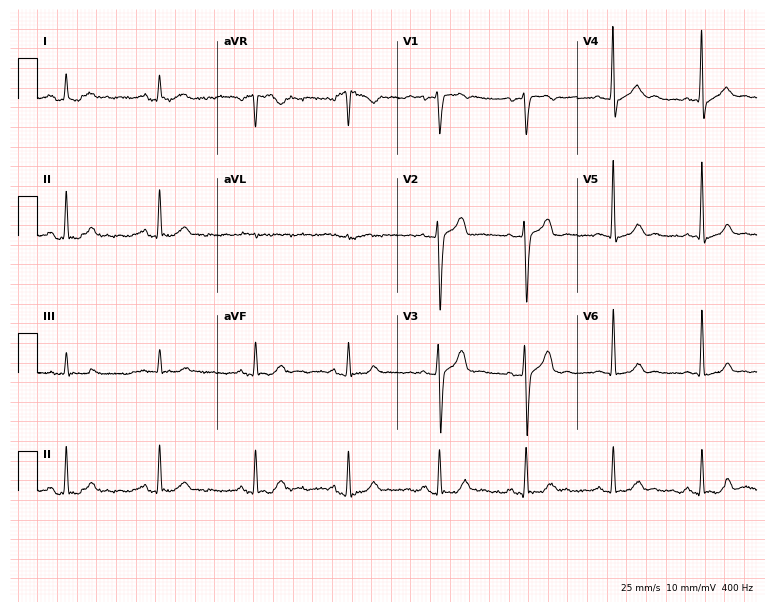
Resting 12-lead electrocardiogram (7.3-second recording at 400 Hz). Patient: a male, 44 years old. Read as a normal ECG.